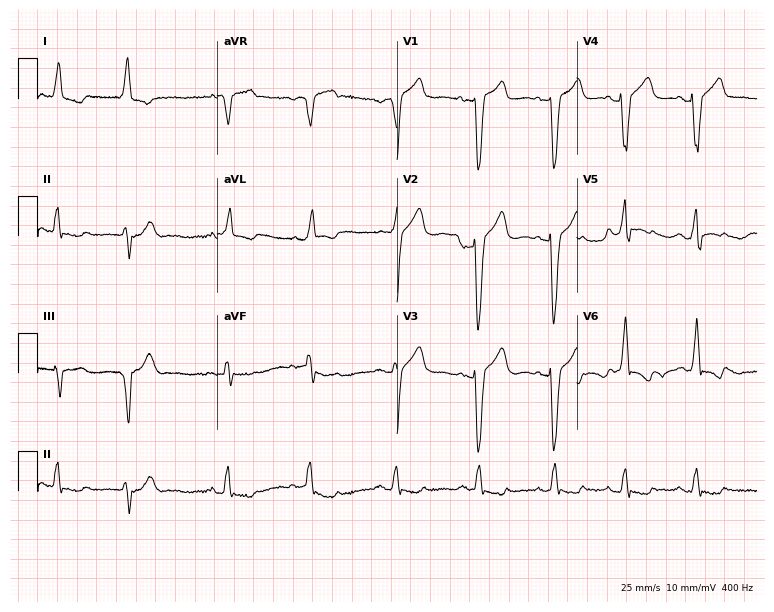
Standard 12-lead ECG recorded from a female patient, 73 years old (7.3-second recording at 400 Hz). The tracing shows left bundle branch block.